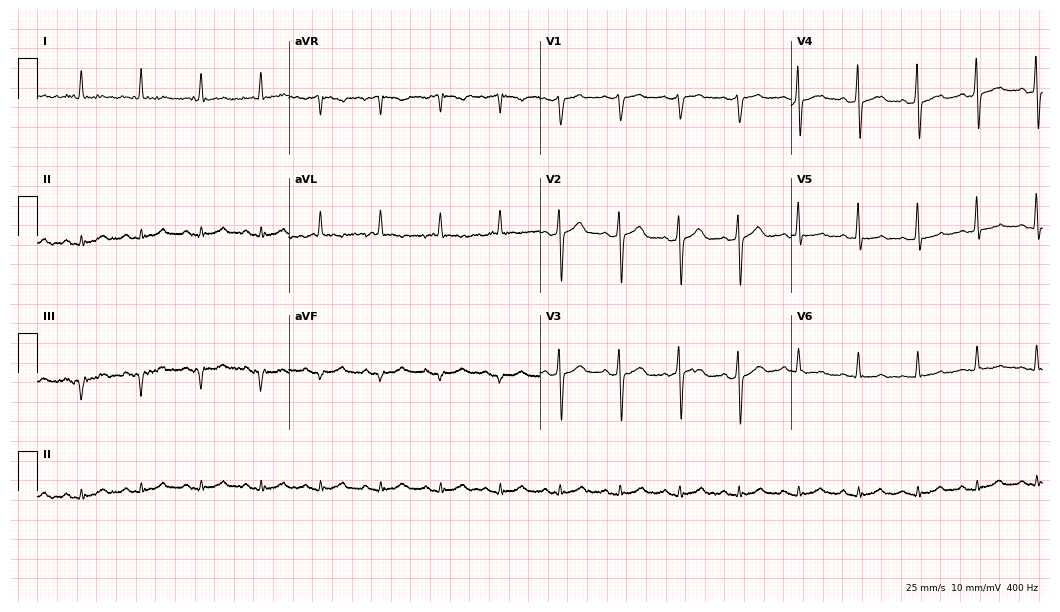
12-lead ECG from a 69-year-old male. Recorded interpretation: within normal limits.